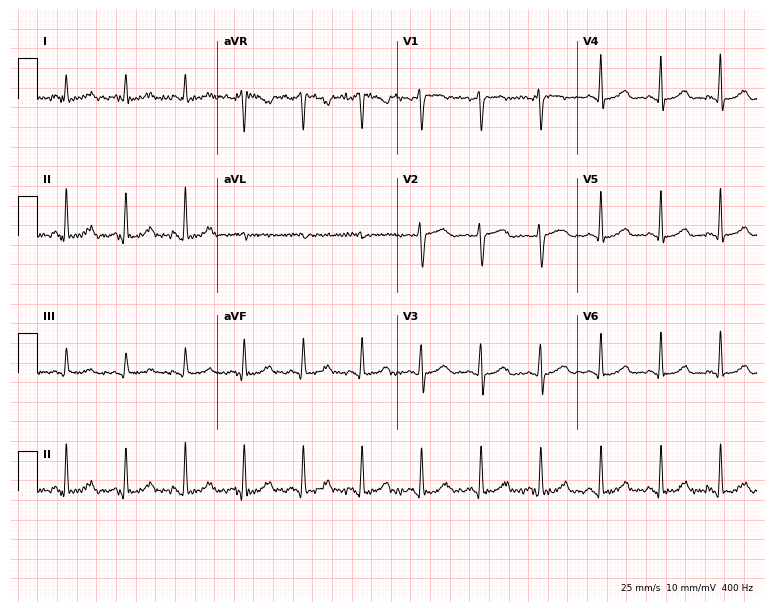
ECG — a woman, 72 years old. Labelled as a normal ECG.